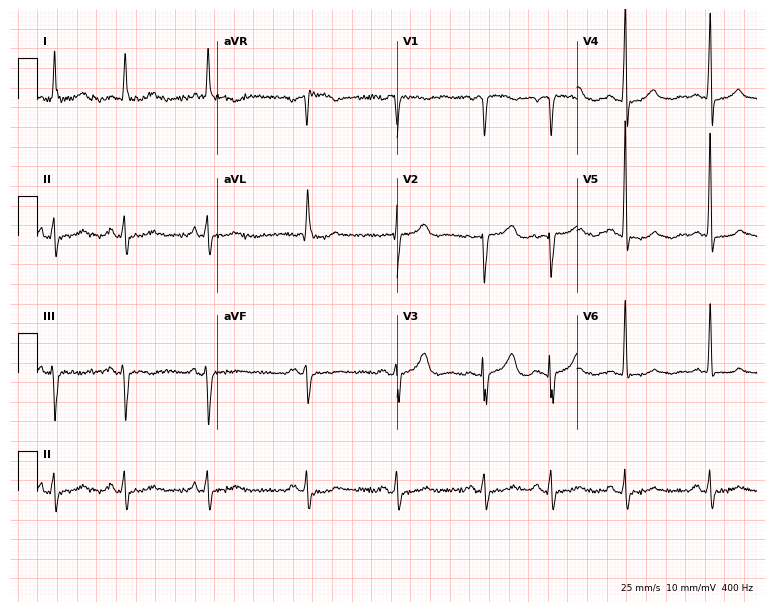
12-lead ECG from a female patient, 70 years old. Screened for six findings — first-degree AV block, right bundle branch block, left bundle branch block, sinus bradycardia, atrial fibrillation, sinus tachycardia — none is recorded.